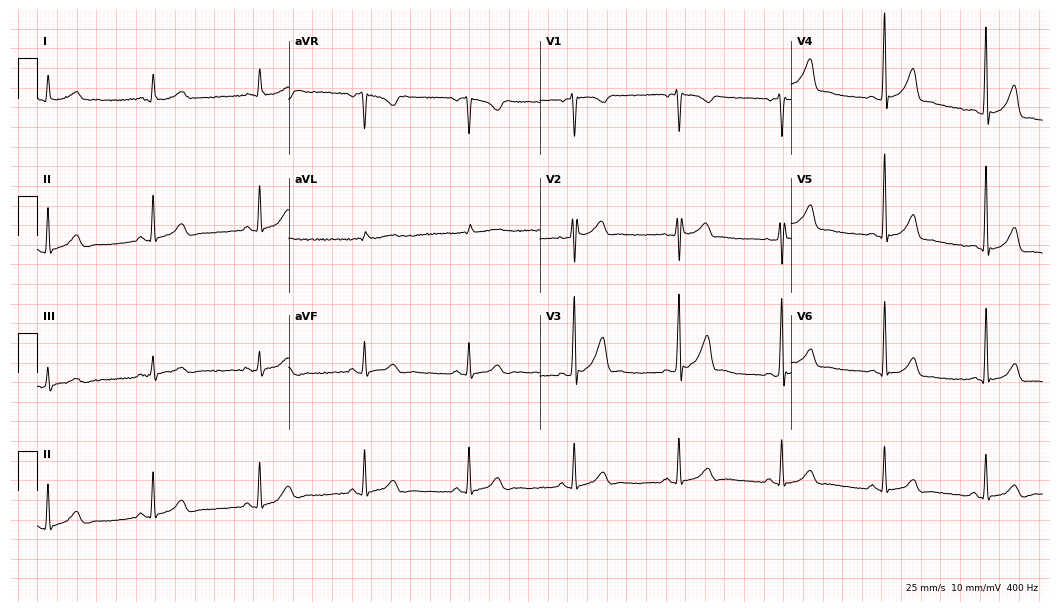
Standard 12-lead ECG recorded from a 42-year-old man. Read as a normal ECG.